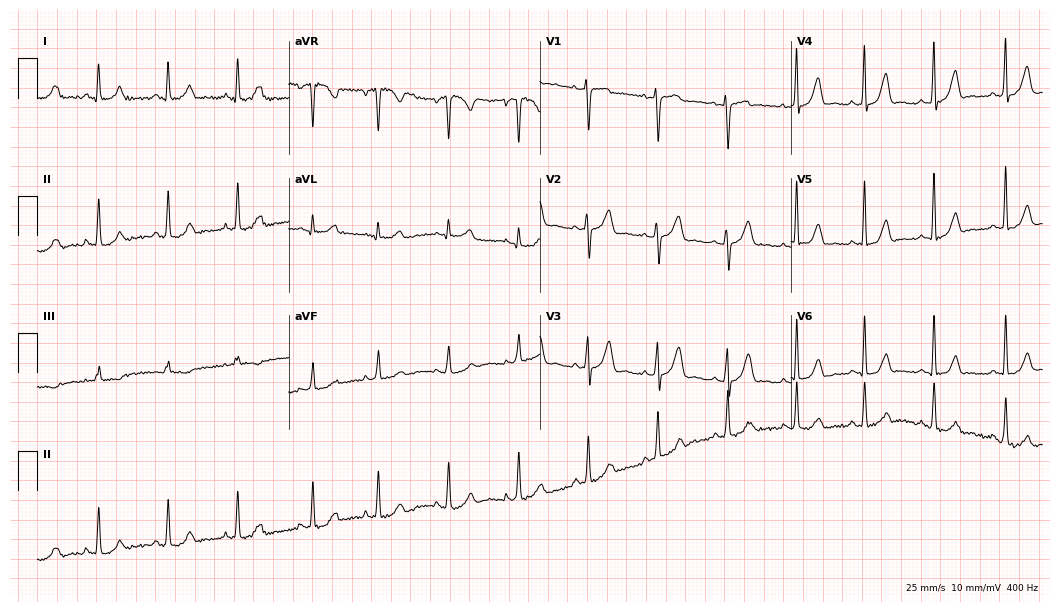
Standard 12-lead ECG recorded from a 42-year-old female. None of these six findings is recorded: first-degree AV block, right bundle branch block, left bundle branch block, sinus bradycardia, atrial fibrillation, sinus tachycardia.